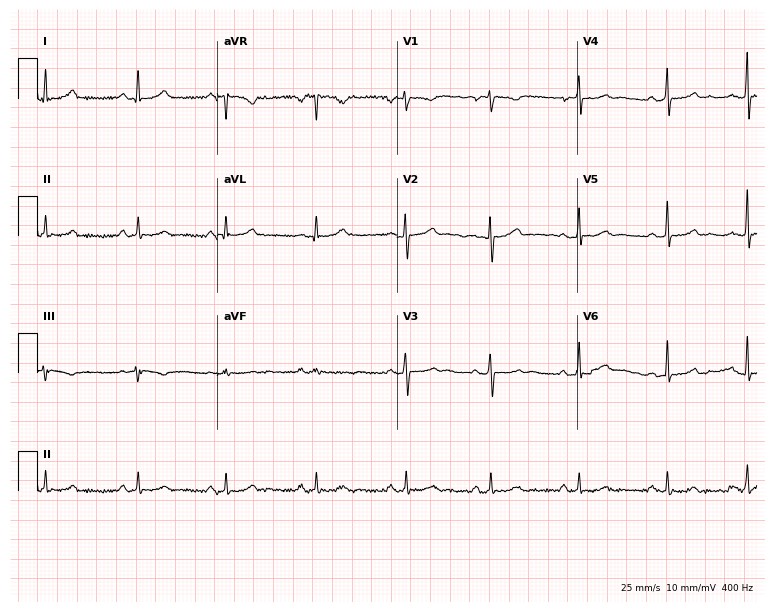
Standard 12-lead ECG recorded from a 41-year-old female patient. Read as a normal ECG.